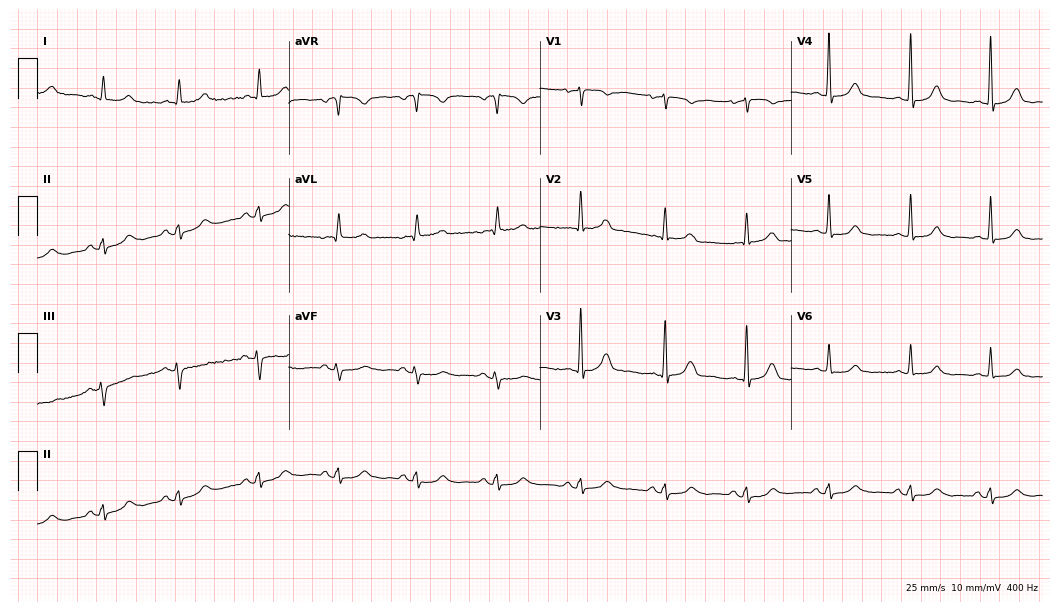
12-lead ECG (10.2-second recording at 400 Hz) from a 44-year-old female patient. Labelled as a normal ECG.